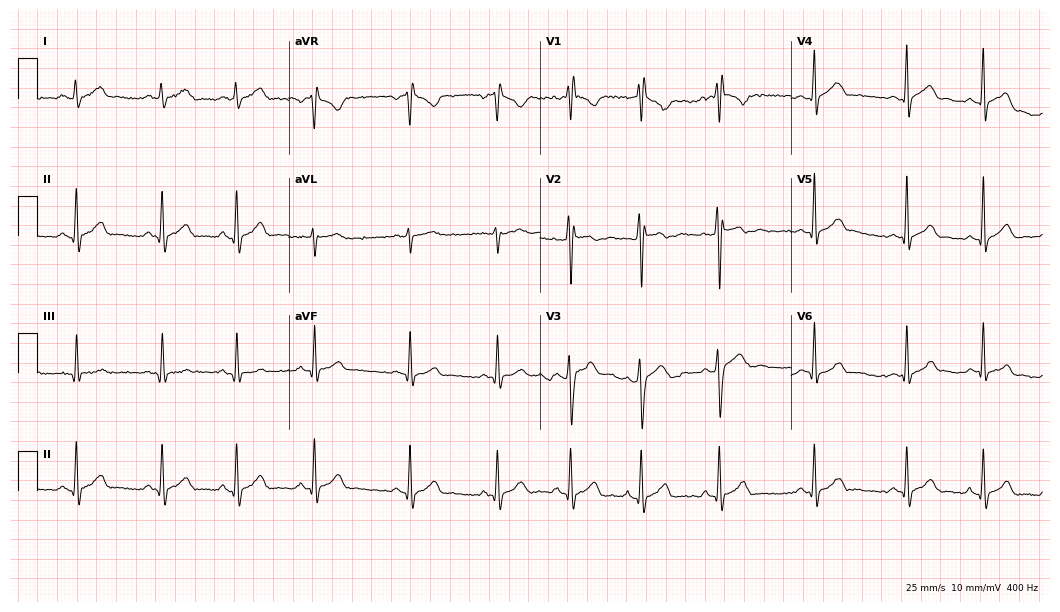
ECG — a 22-year-old male. Screened for six findings — first-degree AV block, right bundle branch block (RBBB), left bundle branch block (LBBB), sinus bradycardia, atrial fibrillation (AF), sinus tachycardia — none is recorded.